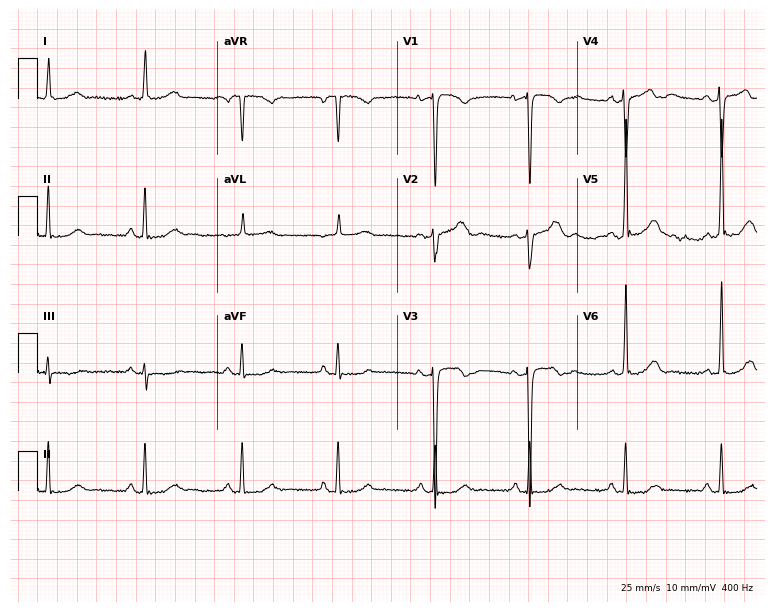
Standard 12-lead ECG recorded from a female patient, 64 years old (7.3-second recording at 400 Hz). Read as a normal ECG.